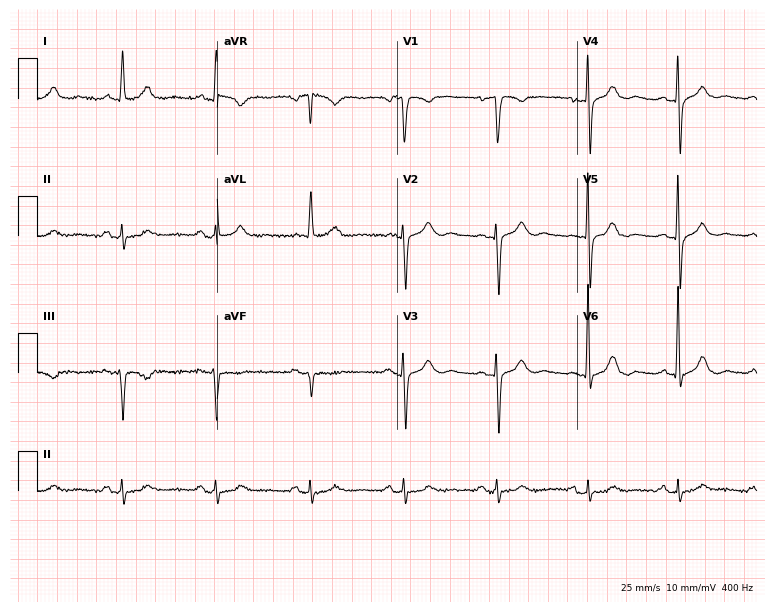
Electrocardiogram (7.3-second recording at 400 Hz), a male patient, 83 years old. Overall reading on record: normal ECG.